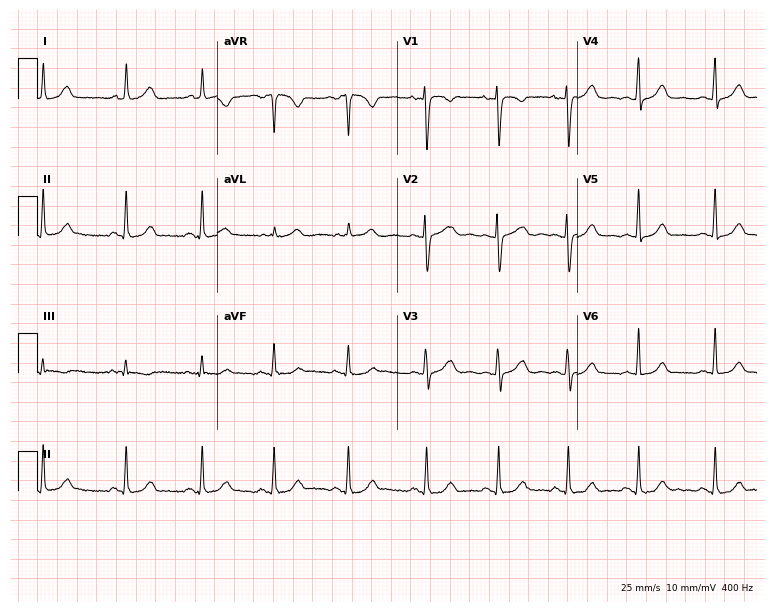
Electrocardiogram, a 41-year-old female patient. Overall reading on record: normal ECG.